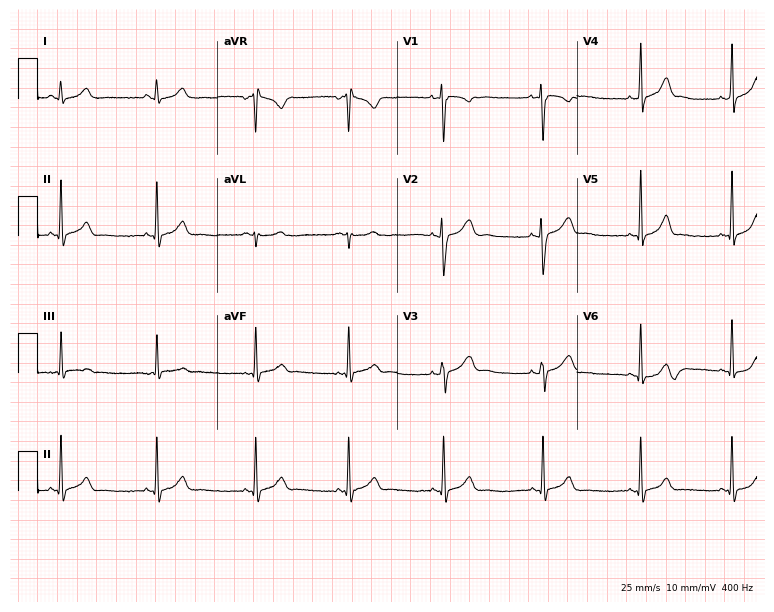
12-lead ECG from a woman, 25 years old. Labelled as a normal ECG.